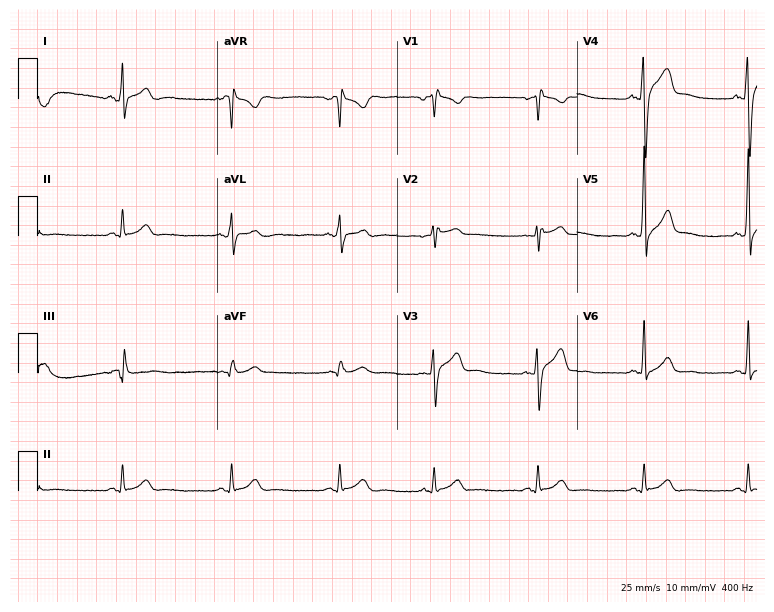
ECG — a 34-year-old man. Screened for six findings — first-degree AV block, right bundle branch block (RBBB), left bundle branch block (LBBB), sinus bradycardia, atrial fibrillation (AF), sinus tachycardia — none is recorded.